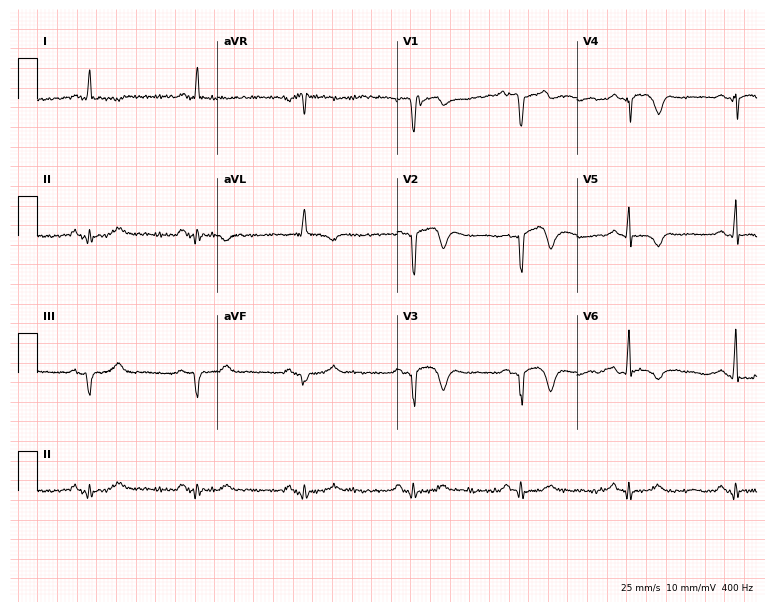
Electrocardiogram, a 71-year-old male. Of the six screened findings (first-degree AV block, right bundle branch block (RBBB), left bundle branch block (LBBB), sinus bradycardia, atrial fibrillation (AF), sinus tachycardia), none is recorded.